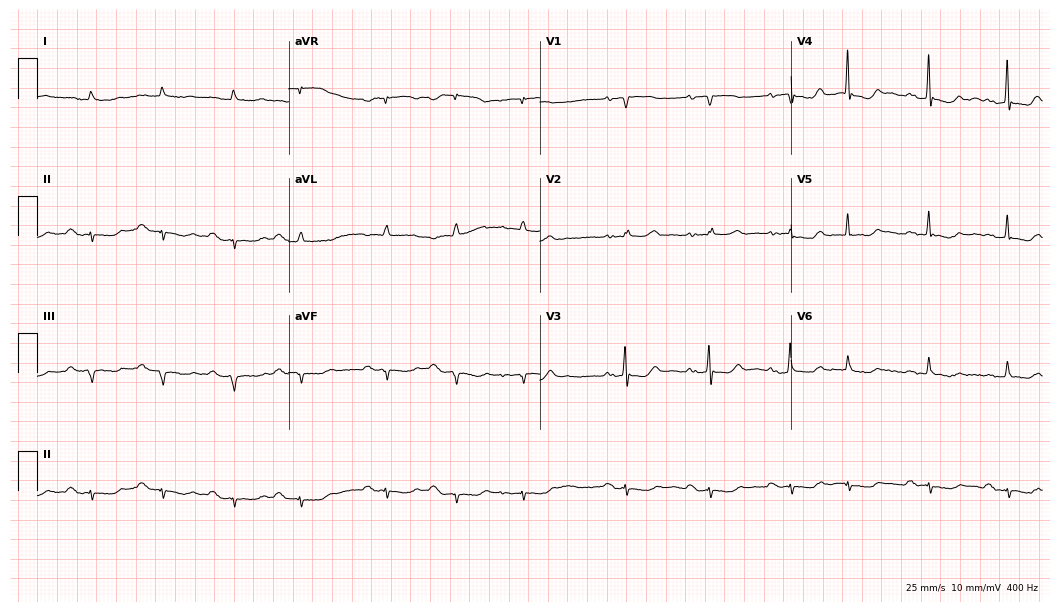
ECG (10.2-second recording at 400 Hz) — an 85-year-old female patient. Screened for six findings — first-degree AV block, right bundle branch block, left bundle branch block, sinus bradycardia, atrial fibrillation, sinus tachycardia — none is recorded.